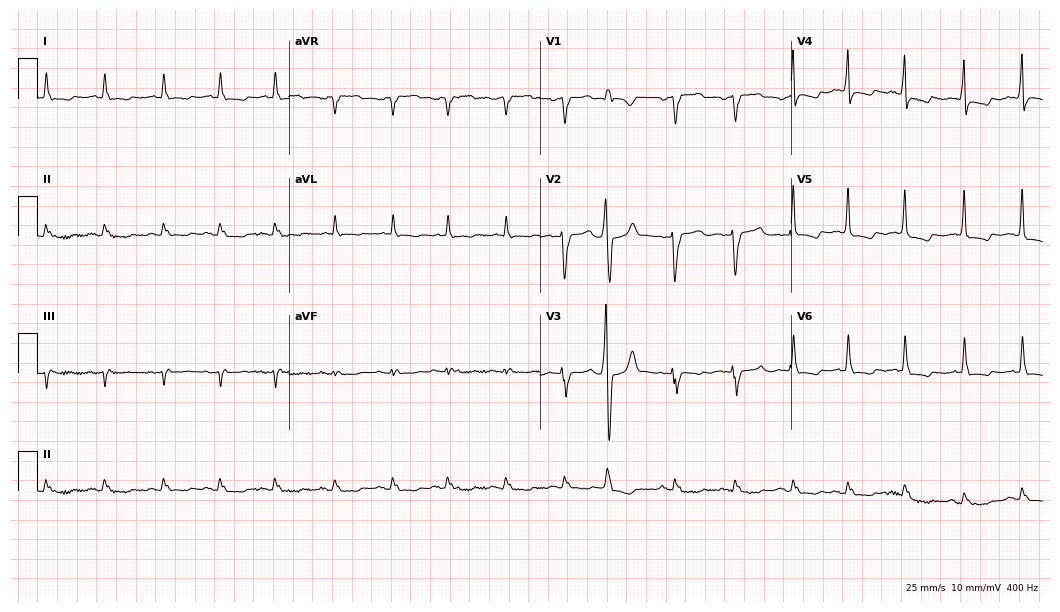
ECG (10.2-second recording at 400 Hz) — a man, 64 years old. Screened for six findings — first-degree AV block, right bundle branch block, left bundle branch block, sinus bradycardia, atrial fibrillation, sinus tachycardia — none is recorded. Only these six findings were labelled.